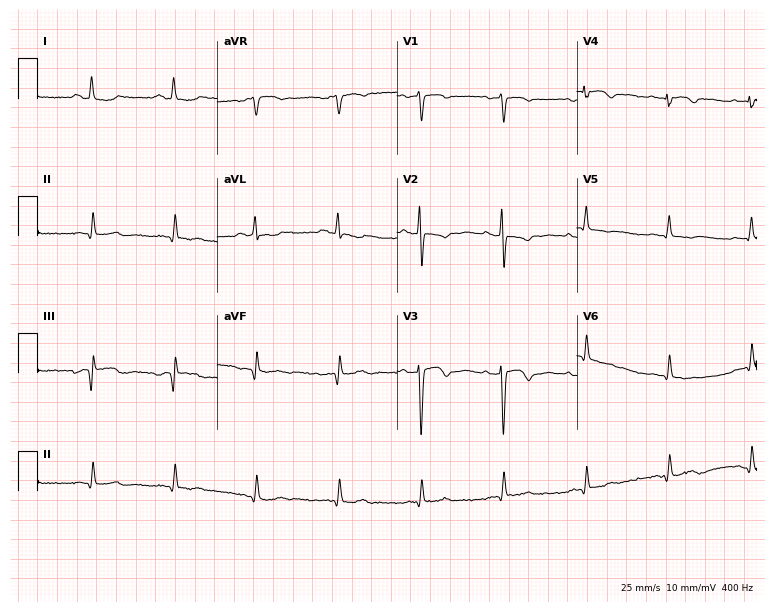
12-lead ECG from a female, 85 years old. Screened for six findings — first-degree AV block, right bundle branch block, left bundle branch block, sinus bradycardia, atrial fibrillation, sinus tachycardia — none is recorded.